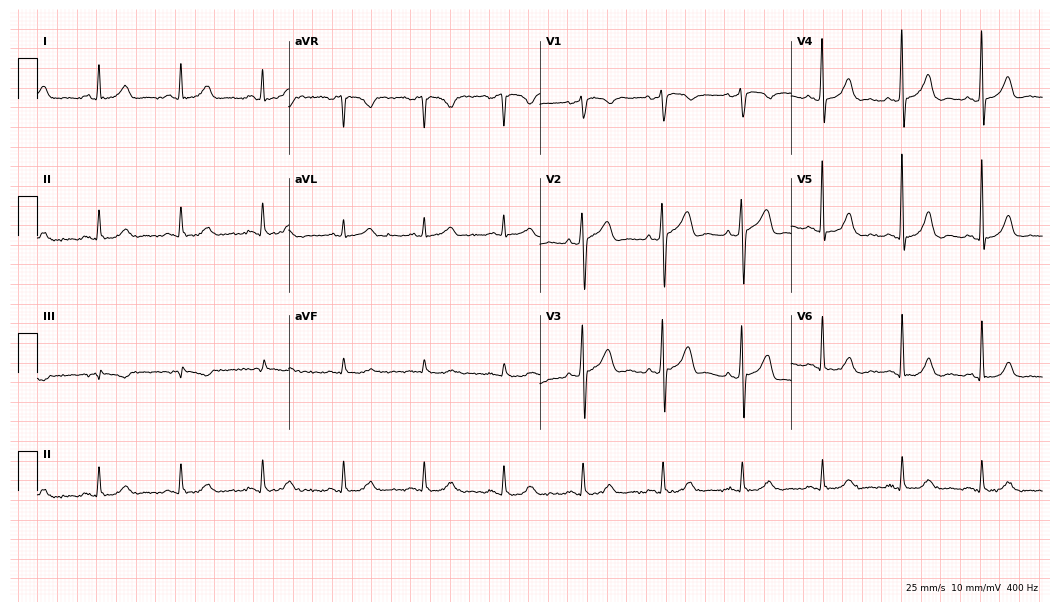
Electrocardiogram (10.2-second recording at 400 Hz), a man, 54 years old. Of the six screened findings (first-degree AV block, right bundle branch block, left bundle branch block, sinus bradycardia, atrial fibrillation, sinus tachycardia), none is recorded.